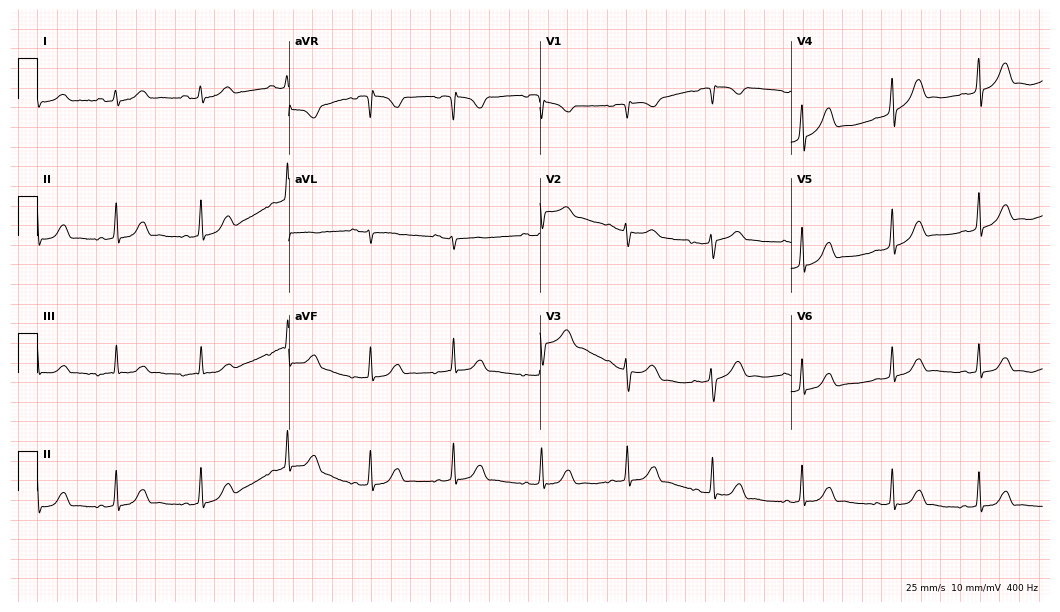
Resting 12-lead electrocardiogram. Patient: a 32-year-old woman. Read as a normal ECG.